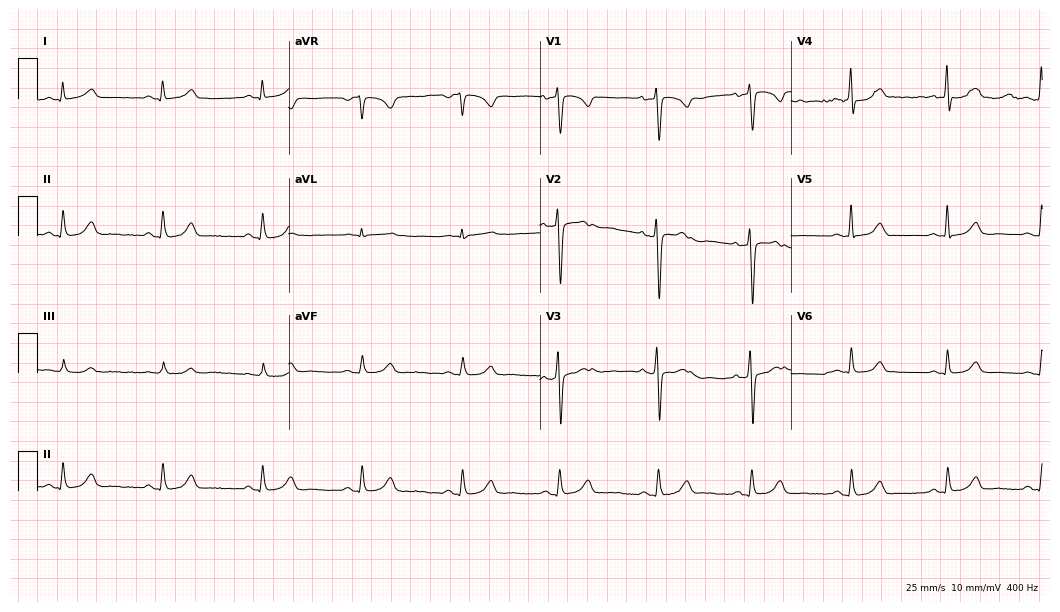
12-lead ECG from a female patient, 36 years old. Labelled as a normal ECG.